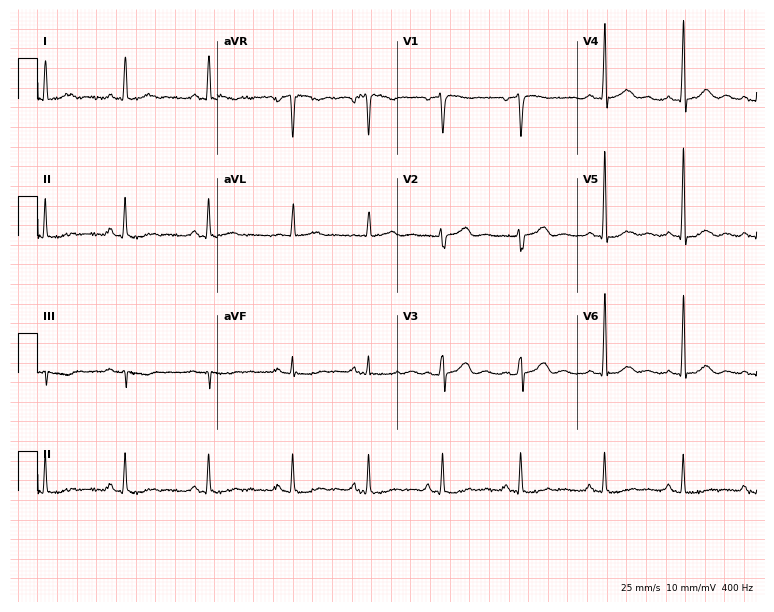
12-lead ECG from a 46-year-old female patient (7.3-second recording at 400 Hz). No first-degree AV block, right bundle branch block, left bundle branch block, sinus bradycardia, atrial fibrillation or sinus tachycardia recorded for this tracing.